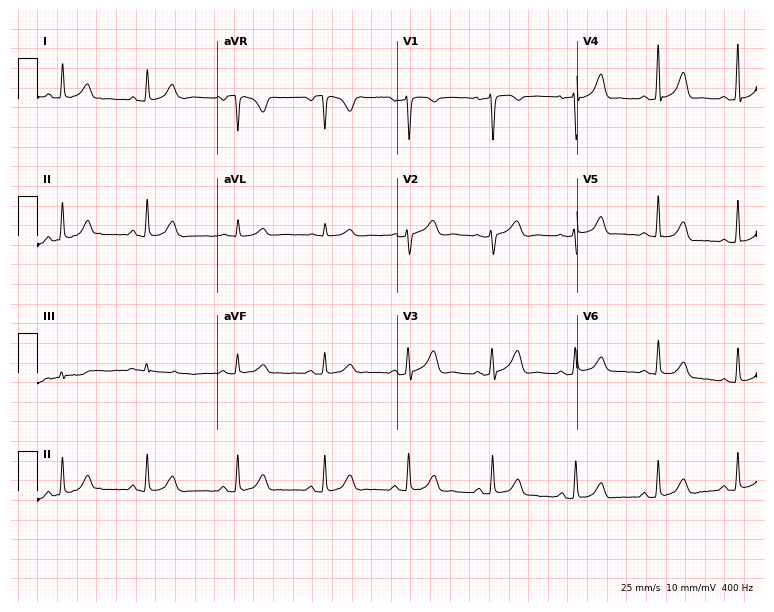
ECG (7.3-second recording at 400 Hz) — a 38-year-old woman. Screened for six findings — first-degree AV block, right bundle branch block (RBBB), left bundle branch block (LBBB), sinus bradycardia, atrial fibrillation (AF), sinus tachycardia — none is recorded. Findings outside these six are not listed.